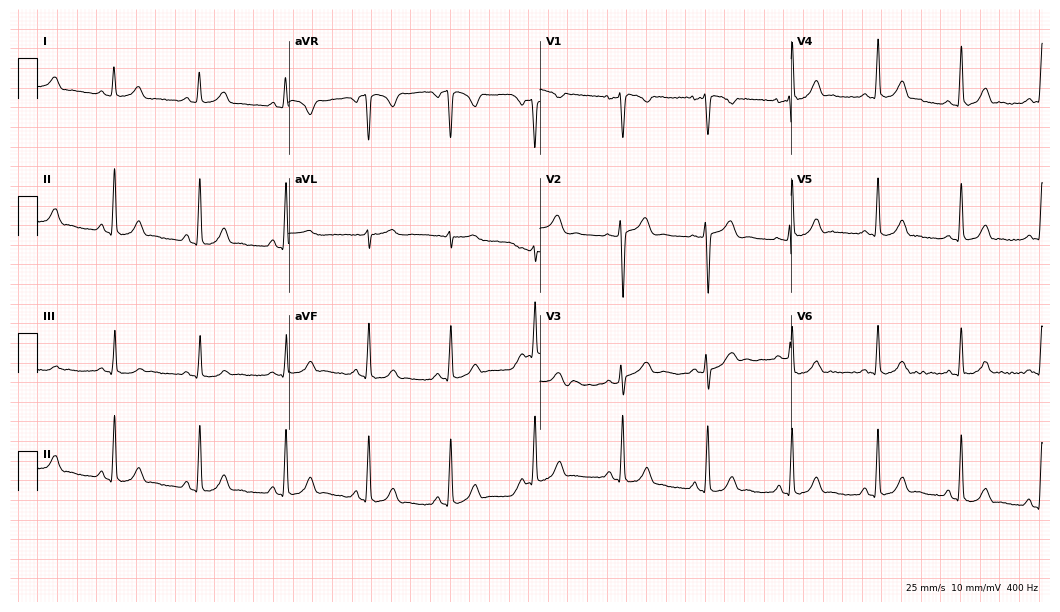
ECG — a 28-year-old female patient. Labelled as a normal ECG.